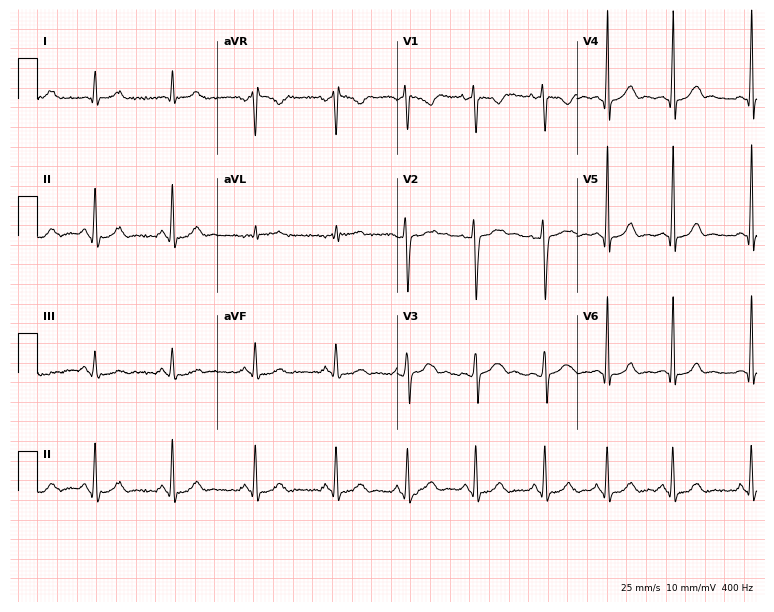
Electrocardiogram, a 31-year-old female. Overall reading on record: normal ECG.